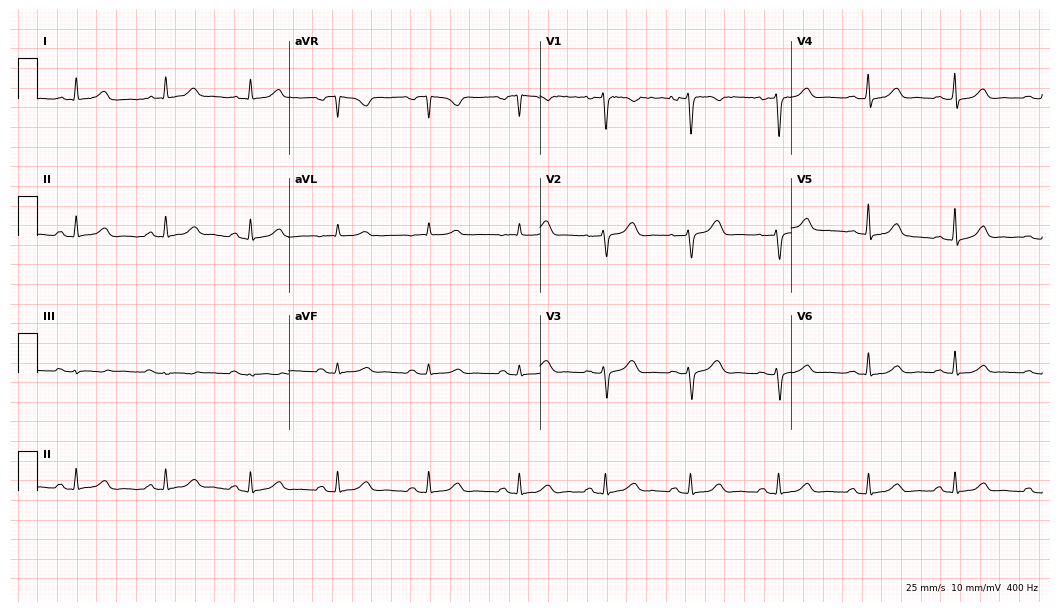
12-lead ECG from a 38-year-old female patient. Recorded interpretation: within normal limits.